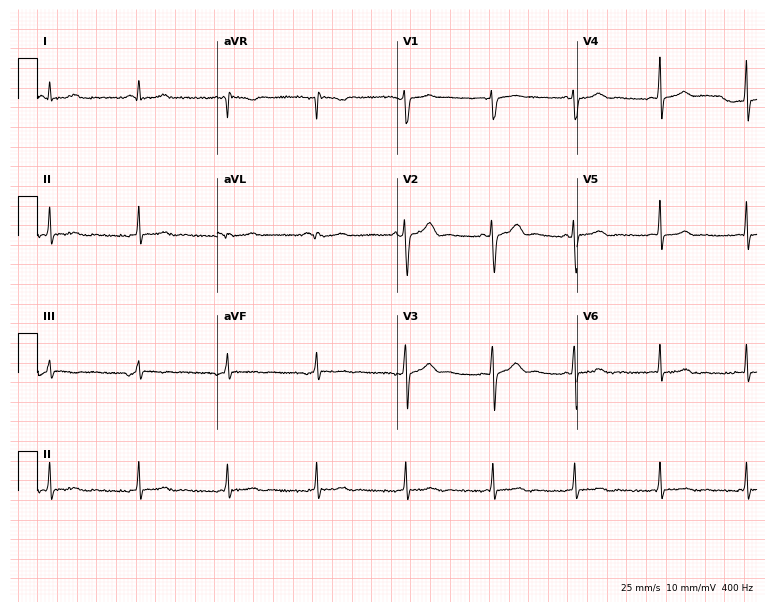
Resting 12-lead electrocardiogram. Patient: a female, 24 years old. Read as a normal ECG.